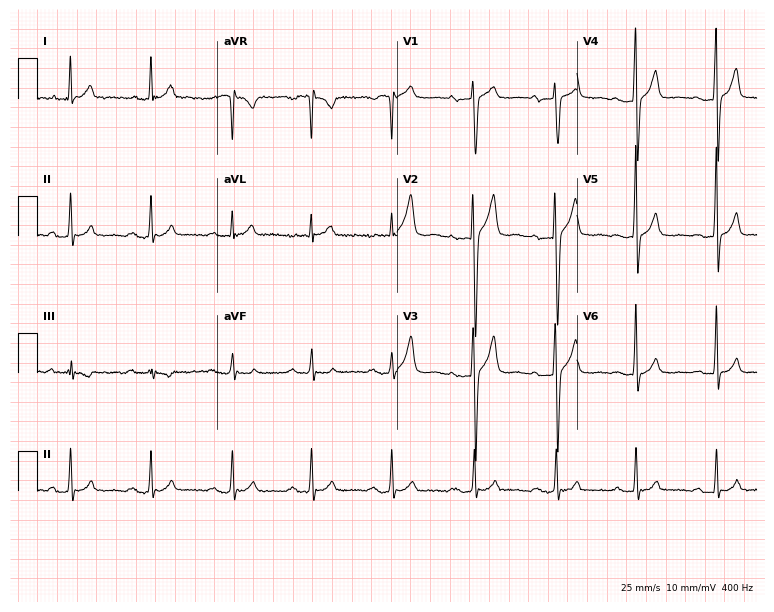
Electrocardiogram, a 66-year-old female. Of the six screened findings (first-degree AV block, right bundle branch block (RBBB), left bundle branch block (LBBB), sinus bradycardia, atrial fibrillation (AF), sinus tachycardia), none is recorded.